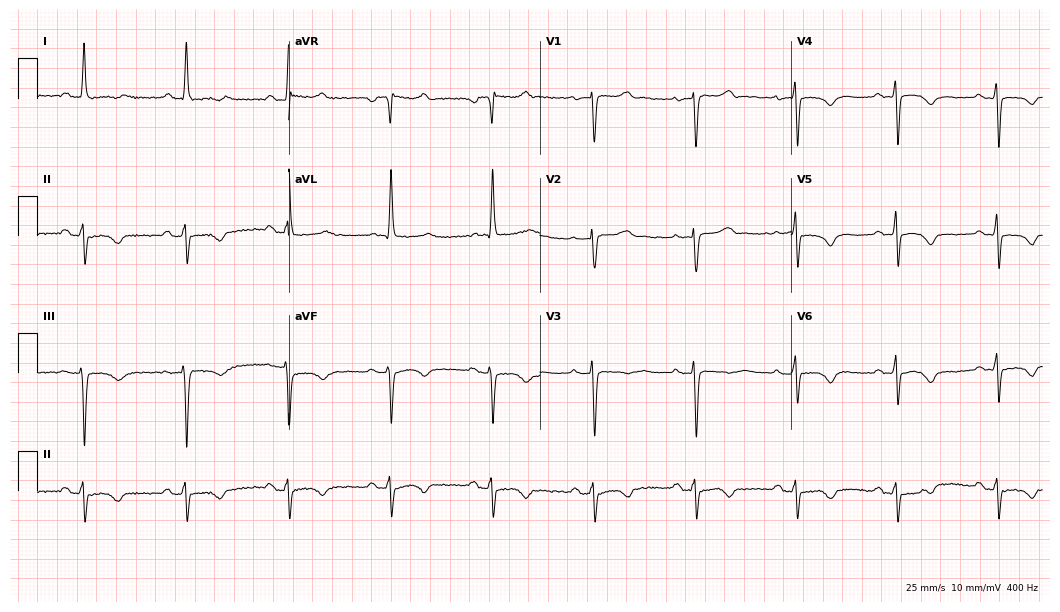
ECG (10.2-second recording at 400 Hz) — a female, 67 years old. Screened for six findings — first-degree AV block, right bundle branch block (RBBB), left bundle branch block (LBBB), sinus bradycardia, atrial fibrillation (AF), sinus tachycardia — none is recorded.